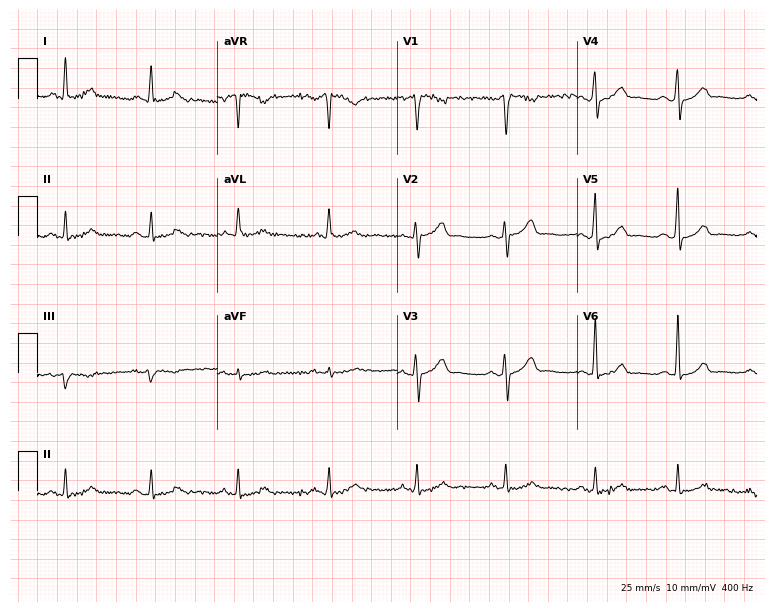
Resting 12-lead electrocardiogram. Patient: a man, 53 years old. None of these six findings is recorded: first-degree AV block, right bundle branch block, left bundle branch block, sinus bradycardia, atrial fibrillation, sinus tachycardia. Other findings, if any, are not listed.